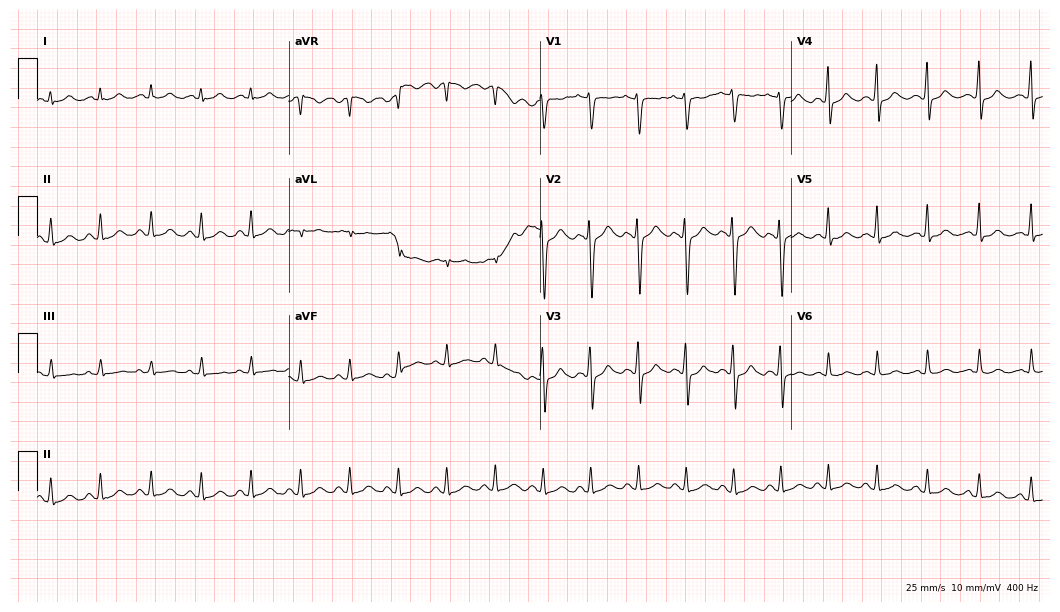
Electrocardiogram (10.2-second recording at 400 Hz), a female, 20 years old. Interpretation includes sinus tachycardia (a sinus rate of 100 beats per minute or more).